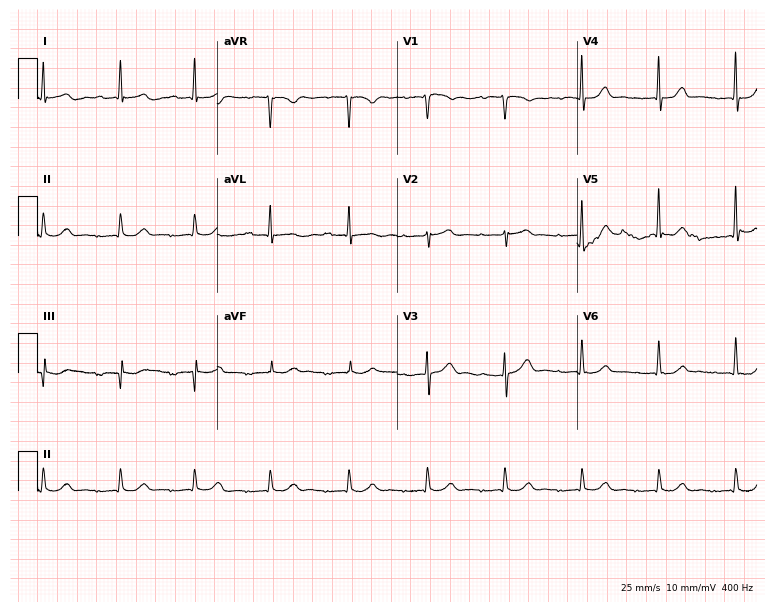
12-lead ECG from a 78-year-old man. Labelled as a normal ECG.